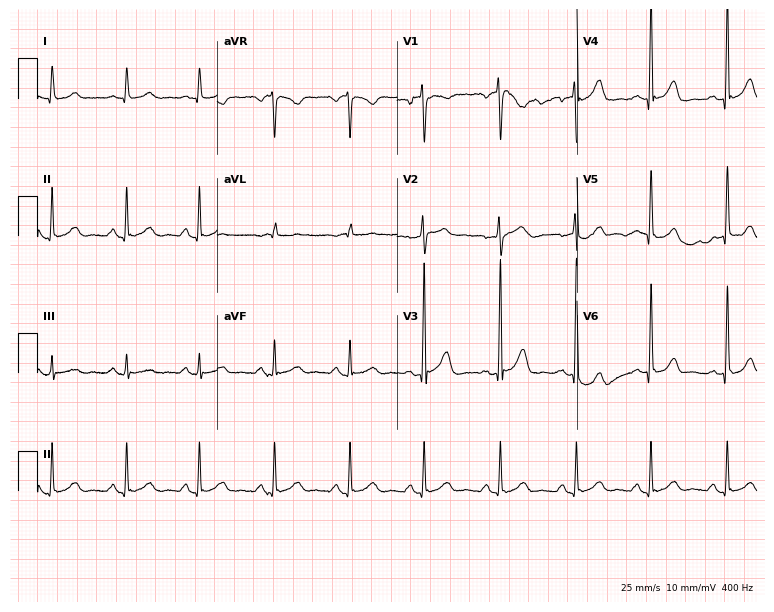
12-lead ECG from a male, 59 years old. Screened for six findings — first-degree AV block, right bundle branch block (RBBB), left bundle branch block (LBBB), sinus bradycardia, atrial fibrillation (AF), sinus tachycardia — none is recorded.